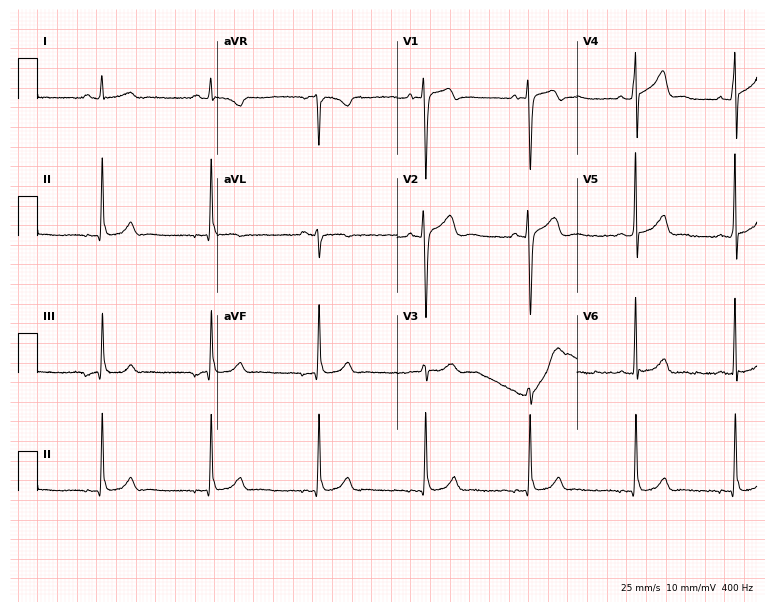
Standard 12-lead ECG recorded from a man, 37 years old. Read as a normal ECG.